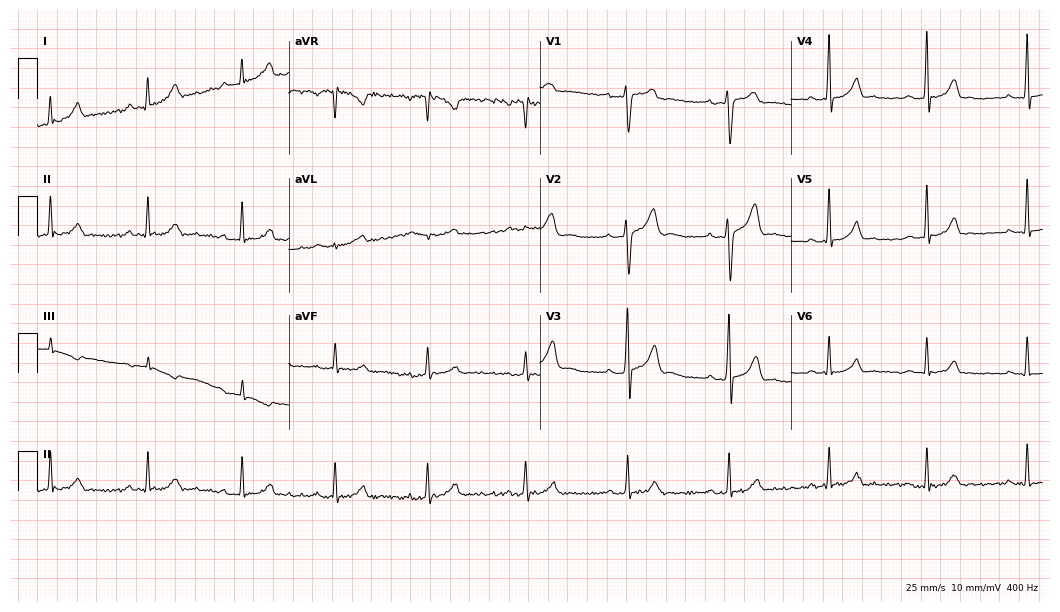
ECG (10.2-second recording at 400 Hz) — a man, 31 years old. Labelled as a normal ECG.